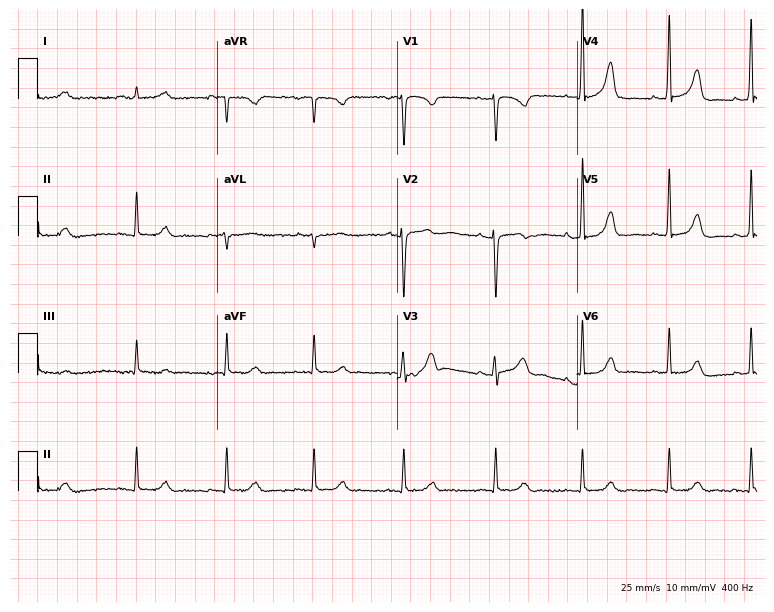
Electrocardiogram (7.3-second recording at 400 Hz), a 47-year-old female patient. Overall reading on record: normal ECG.